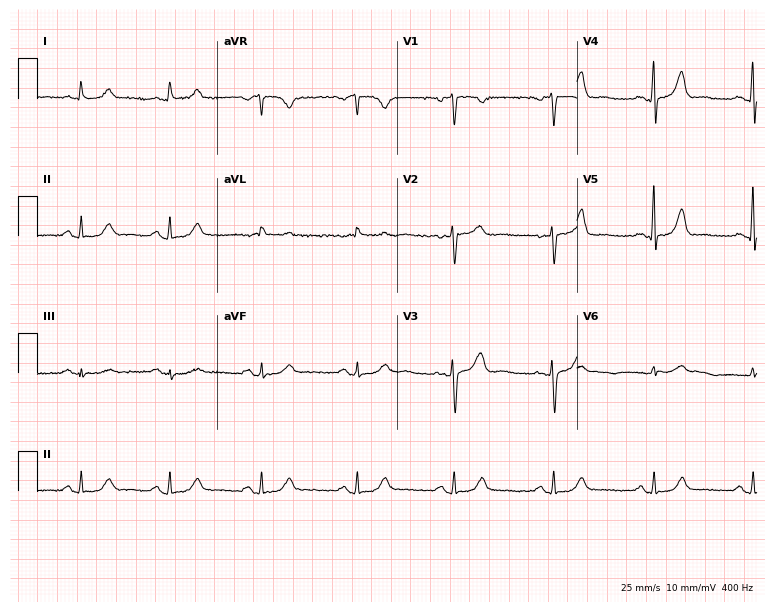
Resting 12-lead electrocardiogram. Patient: a female, 60 years old. Read as a normal ECG.